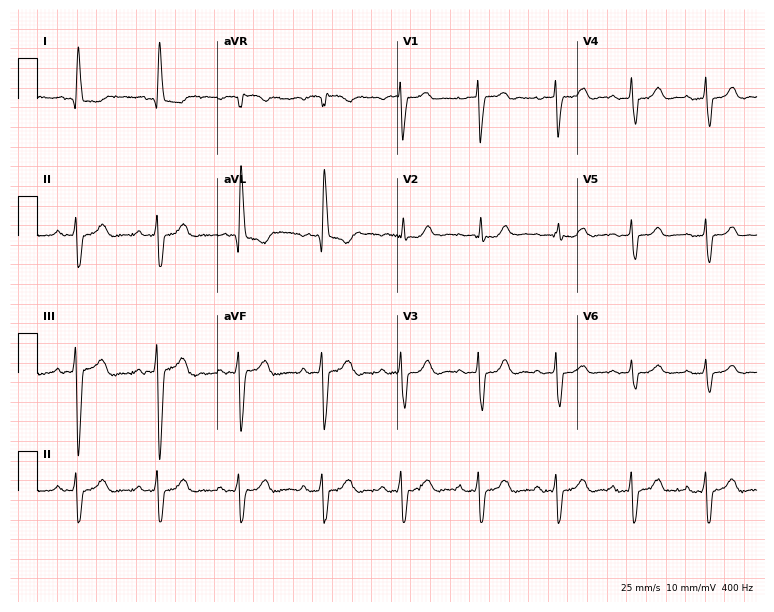
Electrocardiogram, a female, 83 years old. Of the six screened findings (first-degree AV block, right bundle branch block, left bundle branch block, sinus bradycardia, atrial fibrillation, sinus tachycardia), none is recorded. Findings outside these six are not listed.